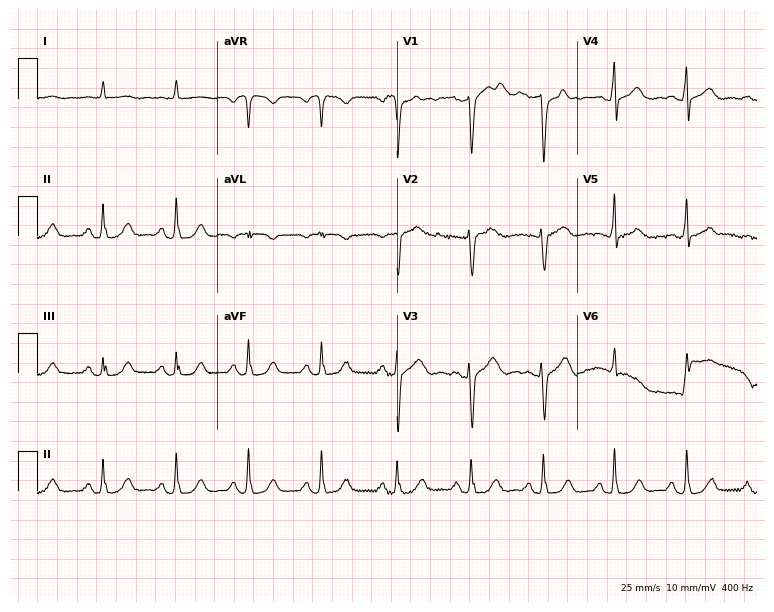
12-lead ECG from a 76-year-old male. Labelled as a normal ECG.